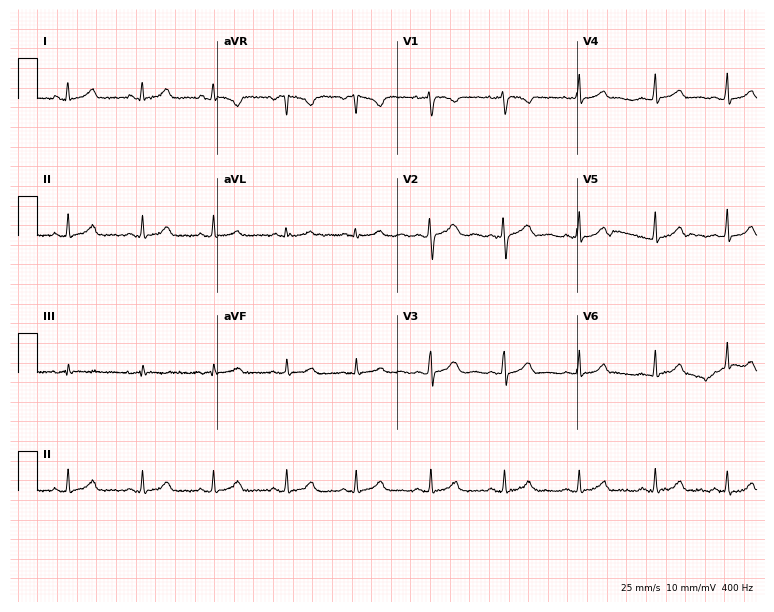
Electrocardiogram, a 21-year-old female patient. Of the six screened findings (first-degree AV block, right bundle branch block (RBBB), left bundle branch block (LBBB), sinus bradycardia, atrial fibrillation (AF), sinus tachycardia), none is recorded. Findings outside these six are not listed.